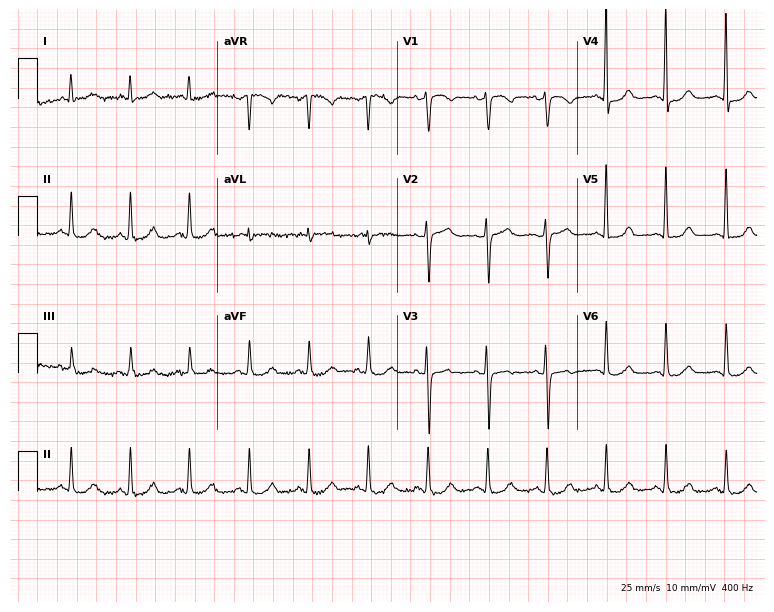
Standard 12-lead ECG recorded from a 45-year-old woman. None of these six findings is recorded: first-degree AV block, right bundle branch block (RBBB), left bundle branch block (LBBB), sinus bradycardia, atrial fibrillation (AF), sinus tachycardia. Findings outside these six are not listed.